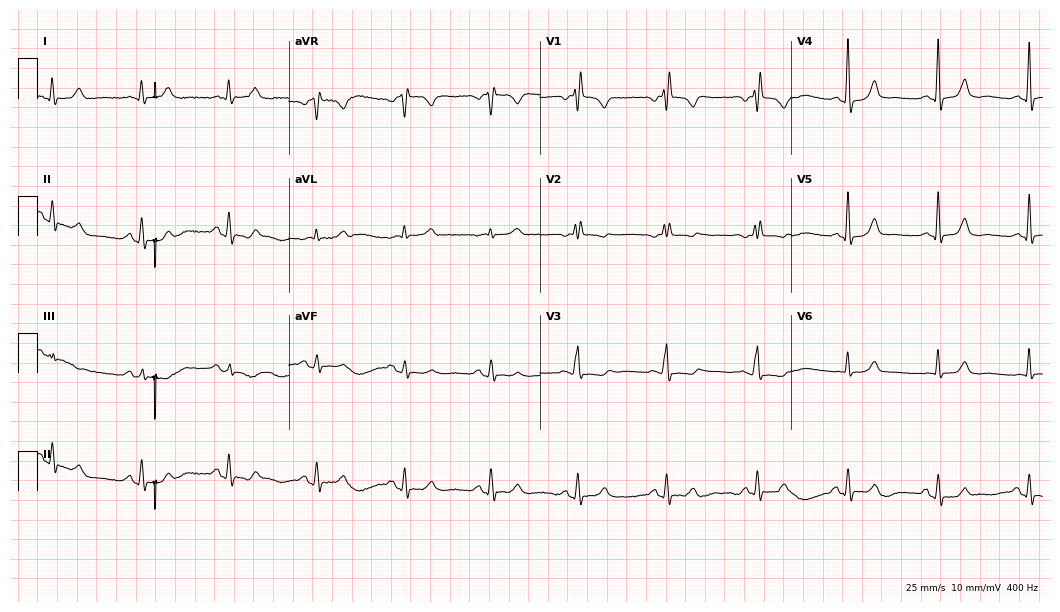
Resting 12-lead electrocardiogram (10.2-second recording at 400 Hz). Patient: a 72-year-old female. None of these six findings is recorded: first-degree AV block, right bundle branch block, left bundle branch block, sinus bradycardia, atrial fibrillation, sinus tachycardia. Findings outside these six are not listed.